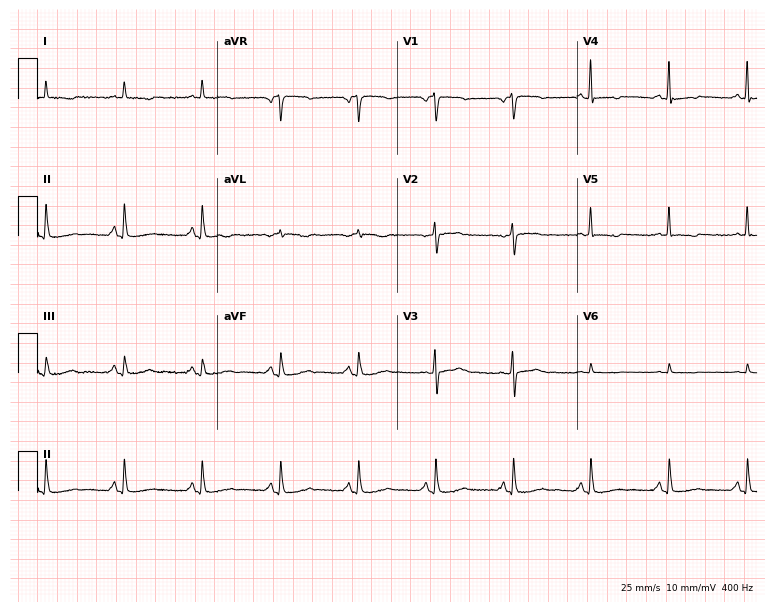
12-lead ECG from a woman, 64 years old. No first-degree AV block, right bundle branch block (RBBB), left bundle branch block (LBBB), sinus bradycardia, atrial fibrillation (AF) or sinus tachycardia recorded for this tracing. Other findings, if any, are not listed.